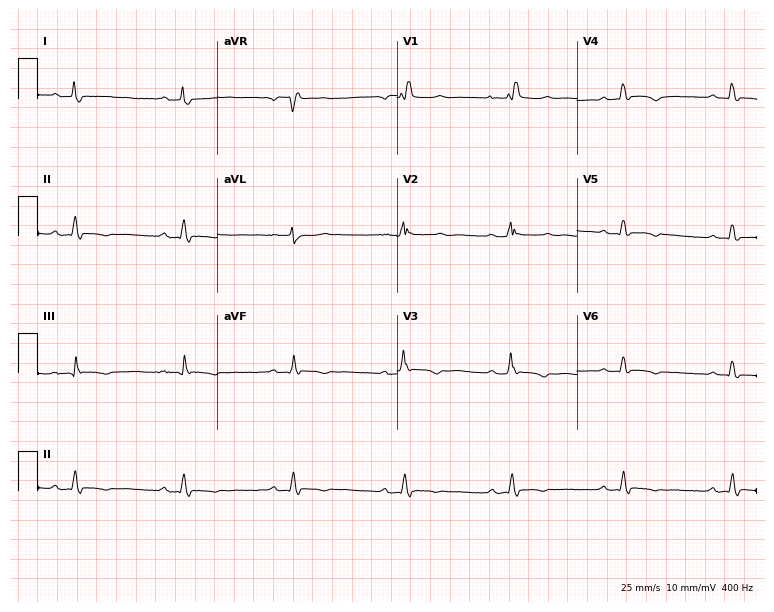
Resting 12-lead electrocardiogram. Patient: a female, 54 years old. The tracing shows first-degree AV block, right bundle branch block.